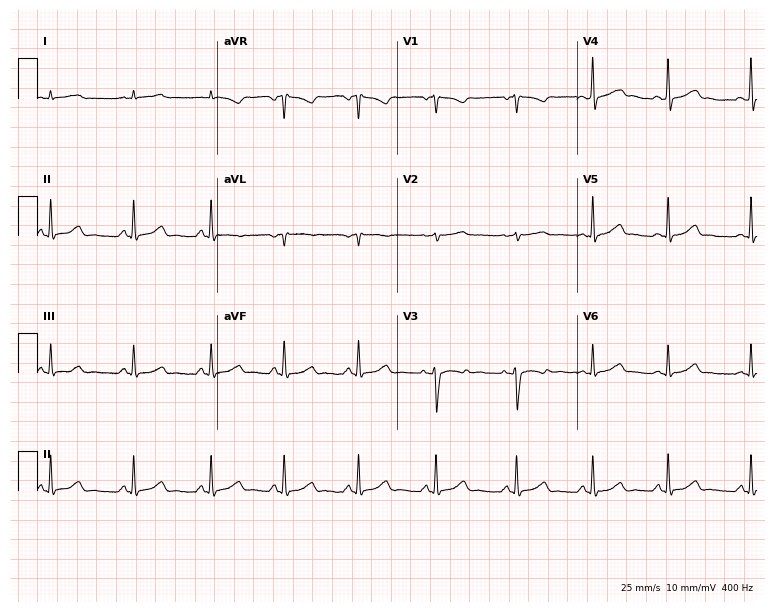
Resting 12-lead electrocardiogram. Patient: a 31-year-old female. Read as a normal ECG.